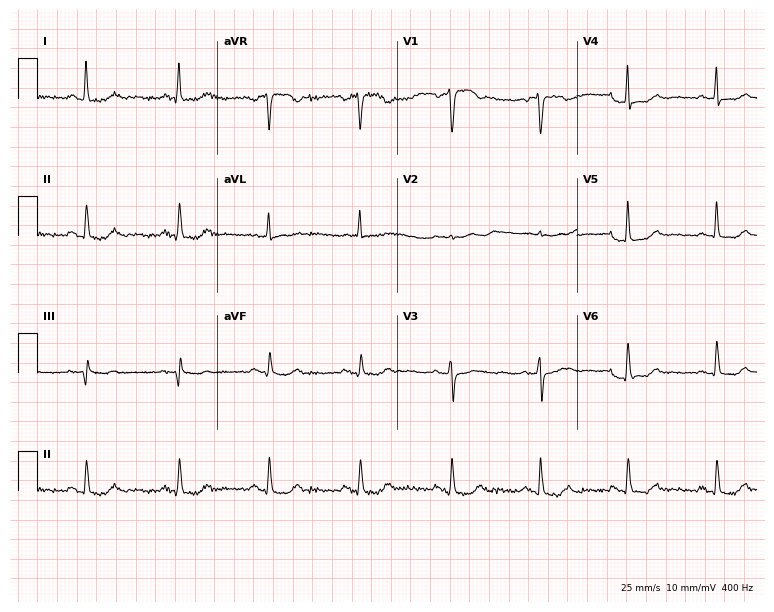
ECG — a 56-year-old female patient. Screened for six findings — first-degree AV block, right bundle branch block, left bundle branch block, sinus bradycardia, atrial fibrillation, sinus tachycardia — none is recorded.